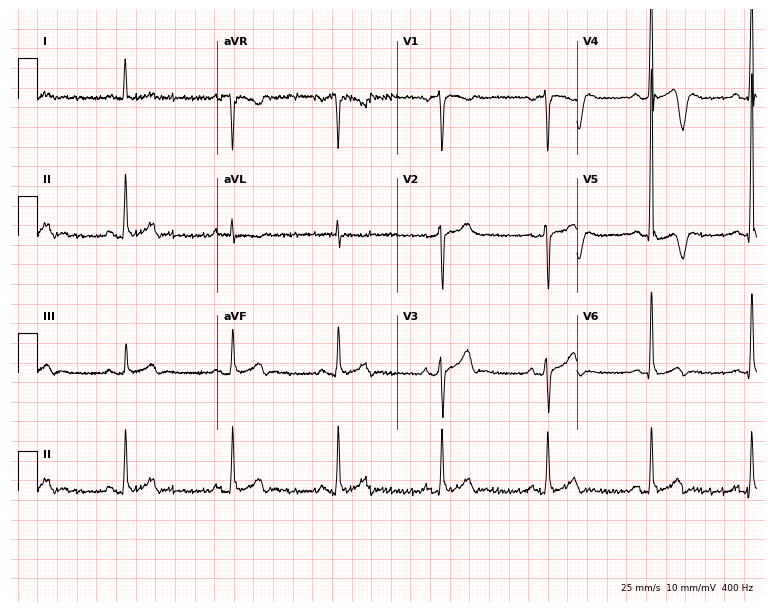
12-lead ECG (7.3-second recording at 400 Hz) from a 47-year-old male patient. Screened for six findings — first-degree AV block, right bundle branch block, left bundle branch block, sinus bradycardia, atrial fibrillation, sinus tachycardia — none is recorded.